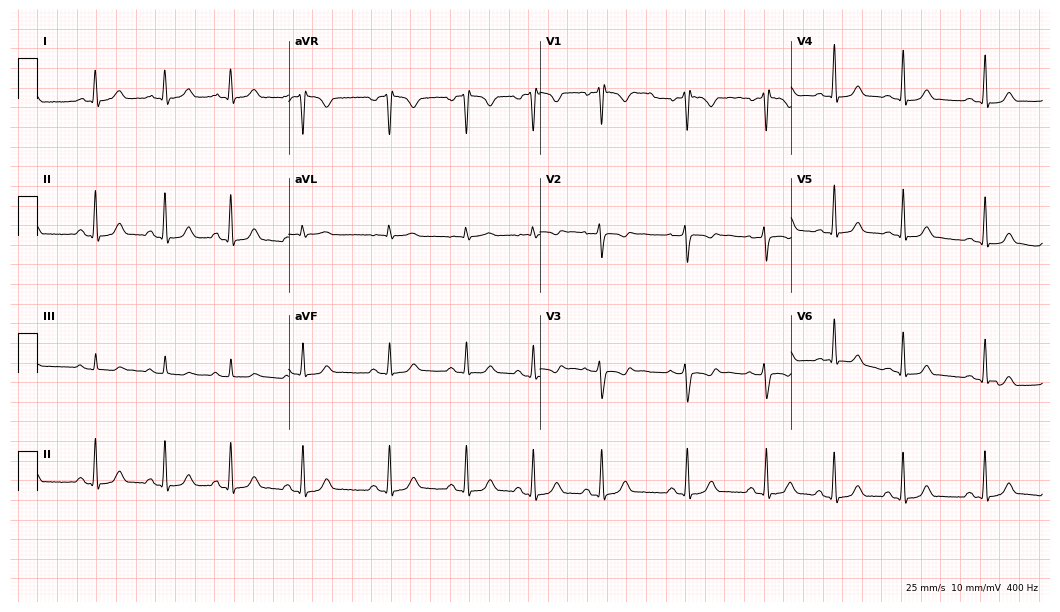
12-lead ECG from a woman, 23 years old. No first-degree AV block, right bundle branch block, left bundle branch block, sinus bradycardia, atrial fibrillation or sinus tachycardia recorded for this tracing. Other findings, if any, are not listed.